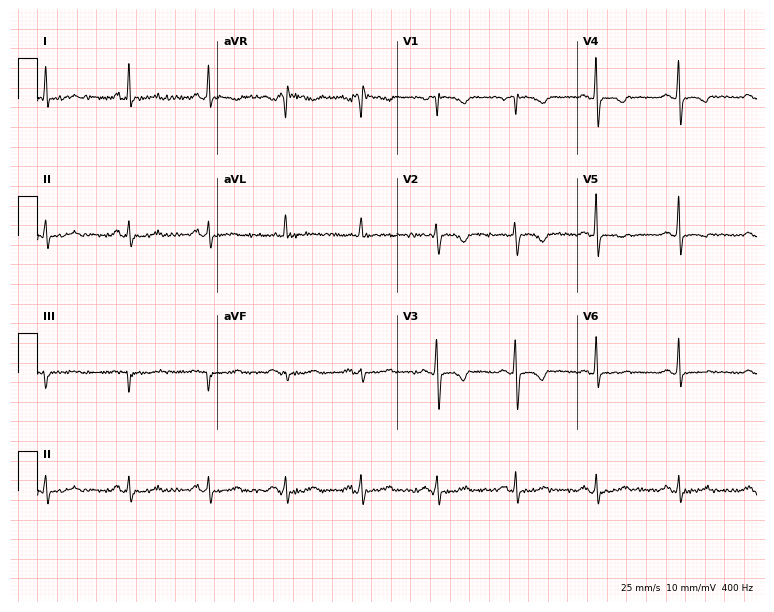
Resting 12-lead electrocardiogram (7.3-second recording at 400 Hz). Patient: a 54-year-old female. None of these six findings is recorded: first-degree AV block, right bundle branch block, left bundle branch block, sinus bradycardia, atrial fibrillation, sinus tachycardia.